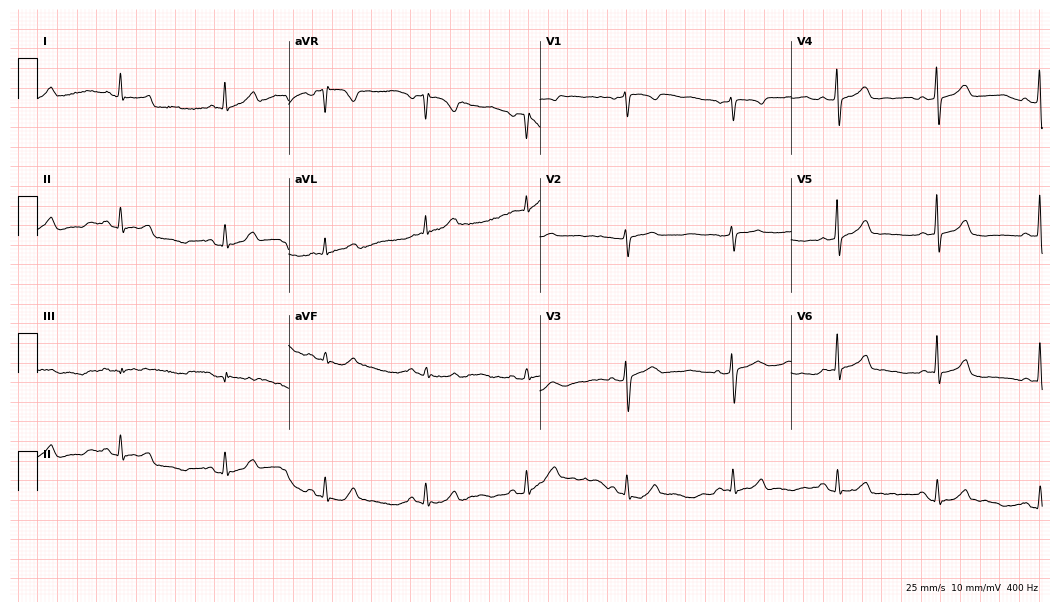
ECG — a 45-year-old woman. Labelled as a normal ECG.